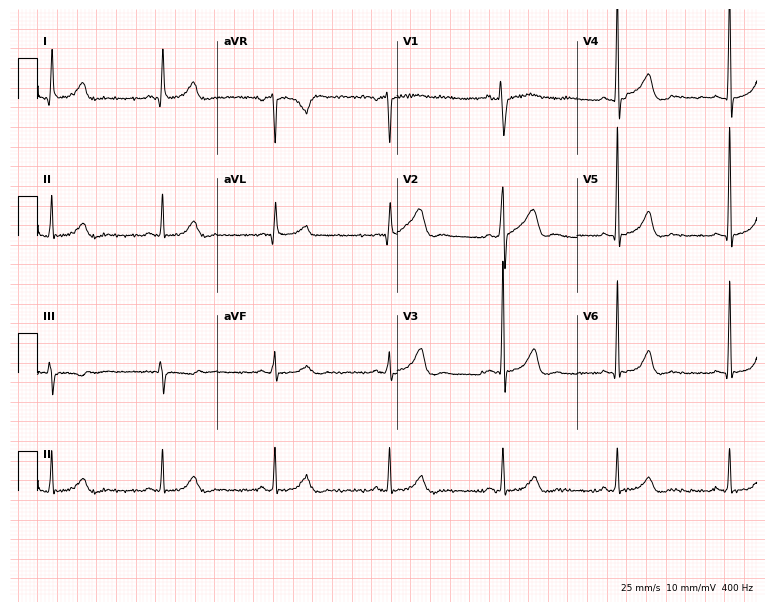
Standard 12-lead ECG recorded from a 38-year-old man. None of these six findings is recorded: first-degree AV block, right bundle branch block (RBBB), left bundle branch block (LBBB), sinus bradycardia, atrial fibrillation (AF), sinus tachycardia.